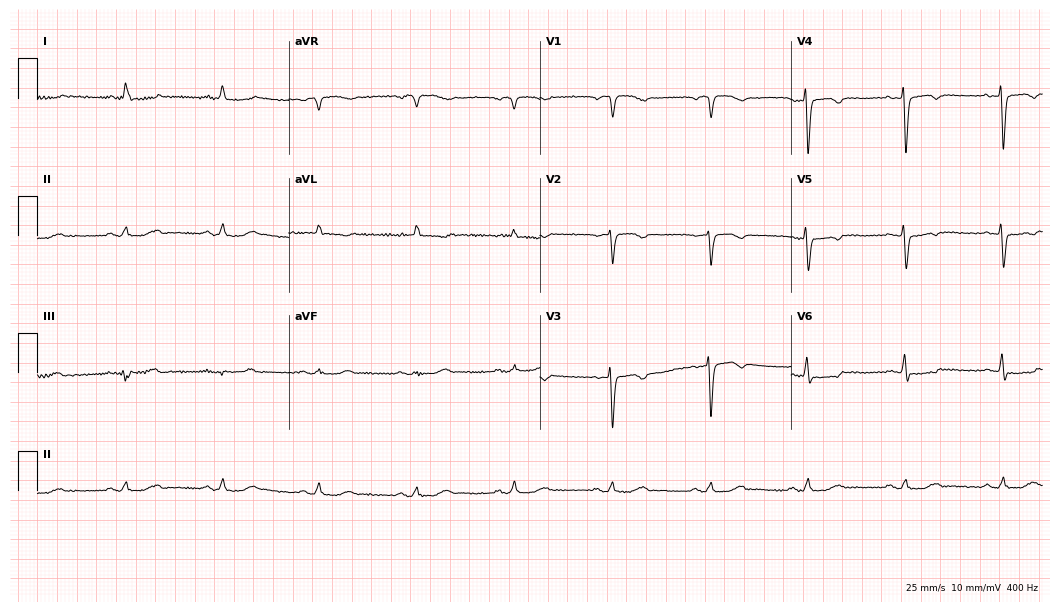
12-lead ECG (10.2-second recording at 400 Hz) from a female patient, 82 years old. Screened for six findings — first-degree AV block, right bundle branch block, left bundle branch block, sinus bradycardia, atrial fibrillation, sinus tachycardia — none is recorded. Only these six findings were labelled.